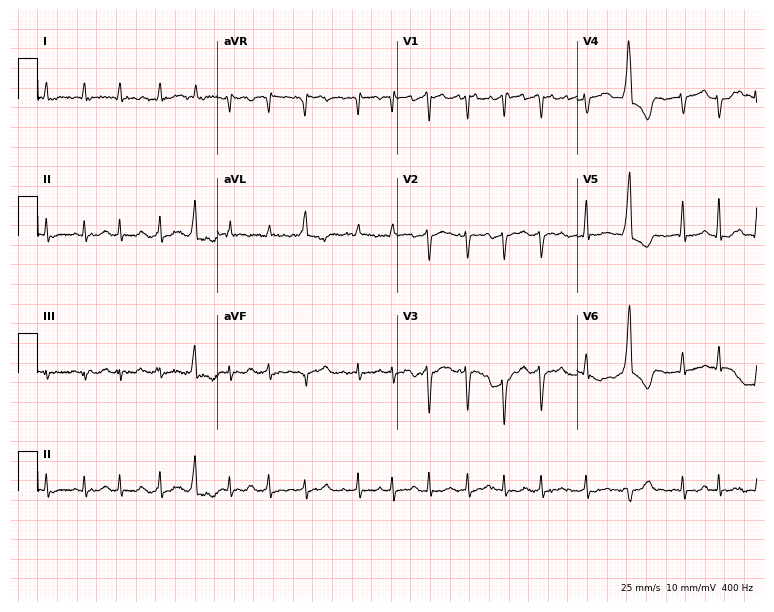
Electrocardiogram, a 75-year-old female. Interpretation includes atrial fibrillation.